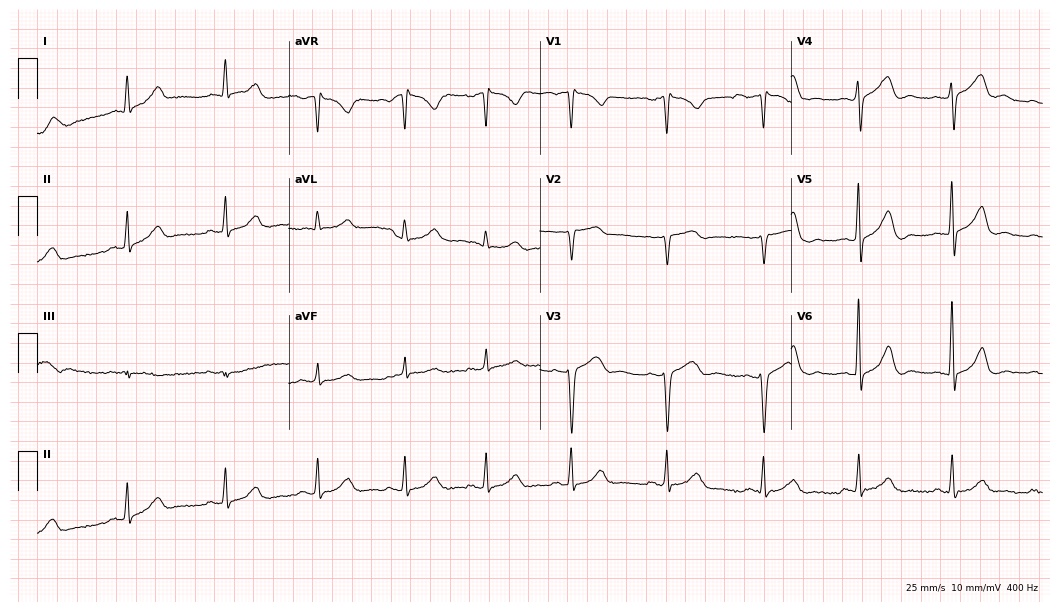
Resting 12-lead electrocardiogram. Patient: a 58-year-old male. None of these six findings is recorded: first-degree AV block, right bundle branch block, left bundle branch block, sinus bradycardia, atrial fibrillation, sinus tachycardia. Findings outside these six are not listed.